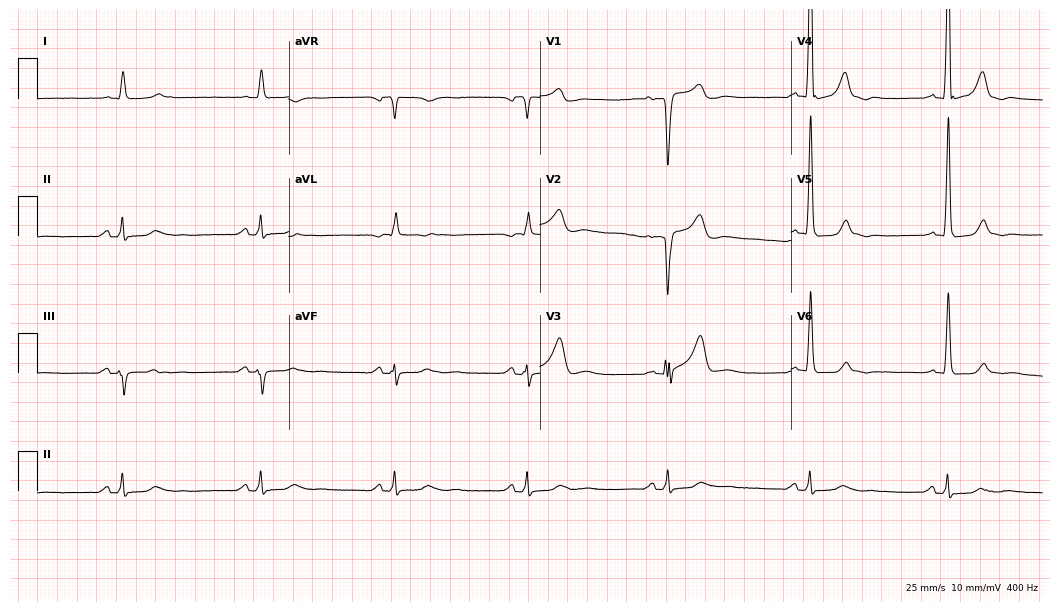
12-lead ECG (10.2-second recording at 400 Hz) from an 82-year-old man. Findings include sinus bradycardia (a sinus rate of 50 beats per minute or less).